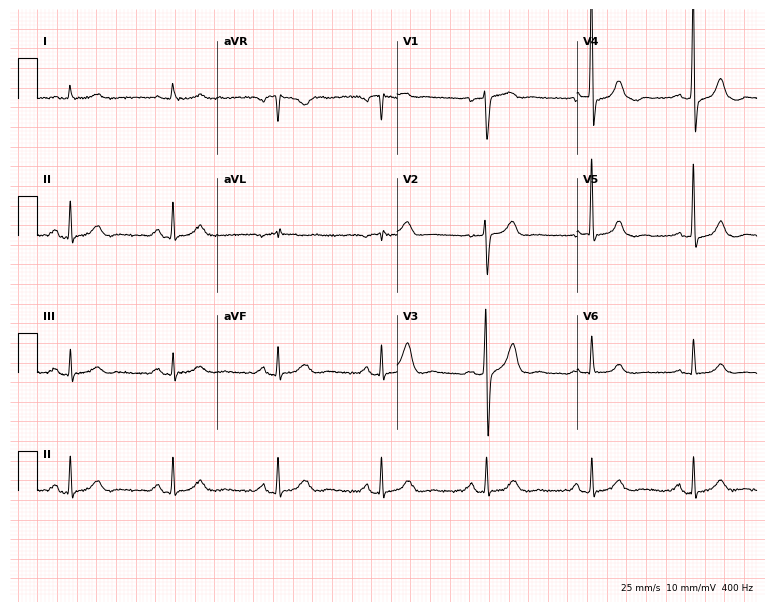
Electrocardiogram, a 67-year-old man. Overall reading on record: normal ECG.